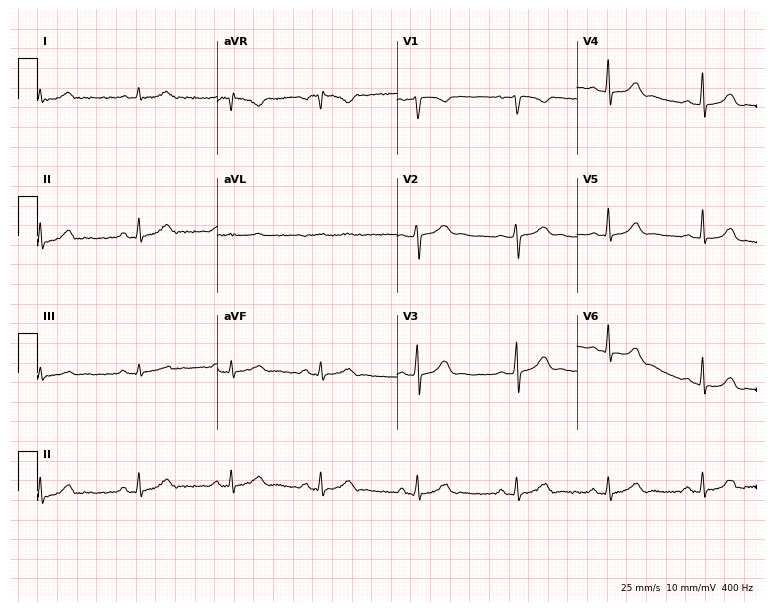
12-lead ECG from a female, 23 years old. Screened for six findings — first-degree AV block, right bundle branch block (RBBB), left bundle branch block (LBBB), sinus bradycardia, atrial fibrillation (AF), sinus tachycardia — none is recorded. Findings outside these six are not listed.